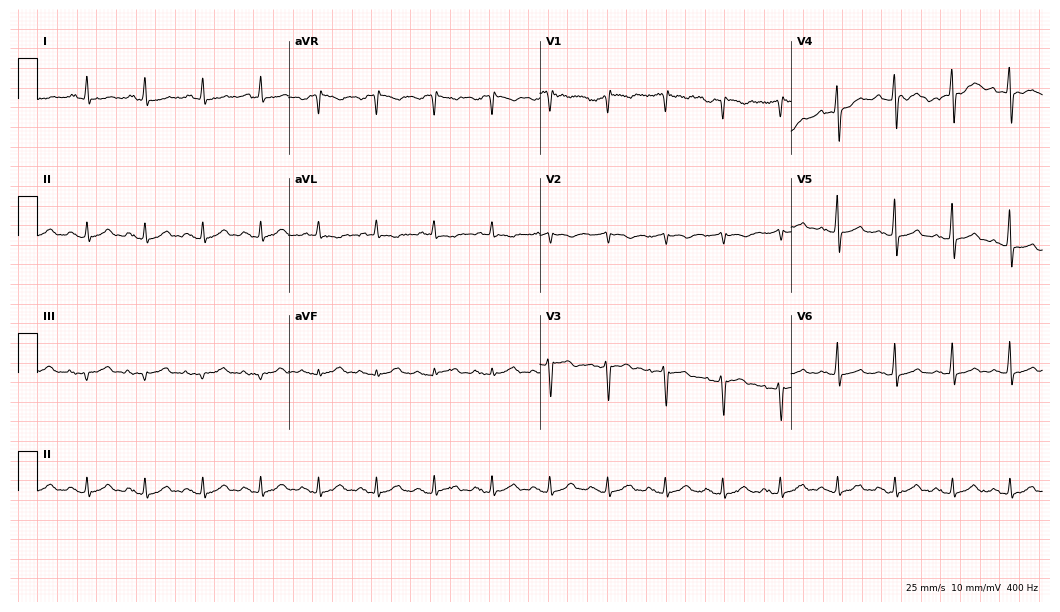
12-lead ECG from a 63-year-old man. Findings include sinus tachycardia (a sinus rate of 100 beats per minute or more).